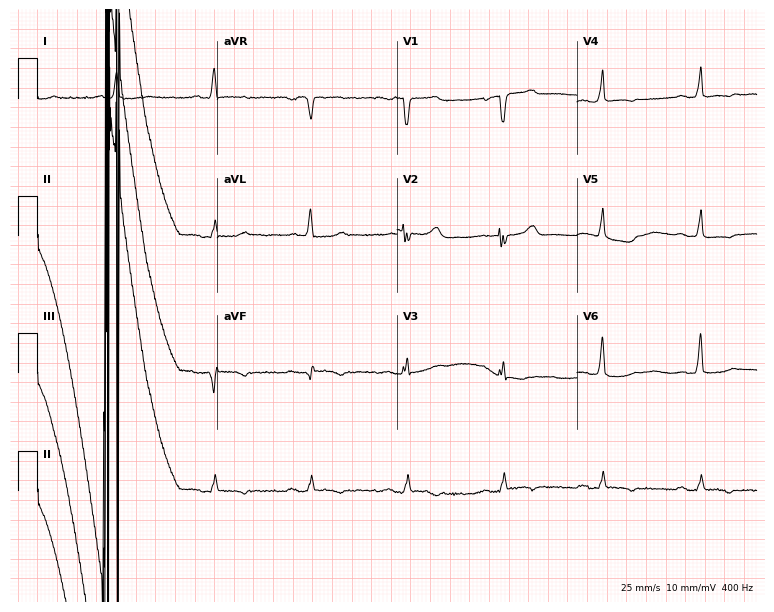
12-lead ECG from a 76-year-old woman. Screened for six findings — first-degree AV block, right bundle branch block, left bundle branch block, sinus bradycardia, atrial fibrillation, sinus tachycardia — none is recorded. Only these six findings were labelled.